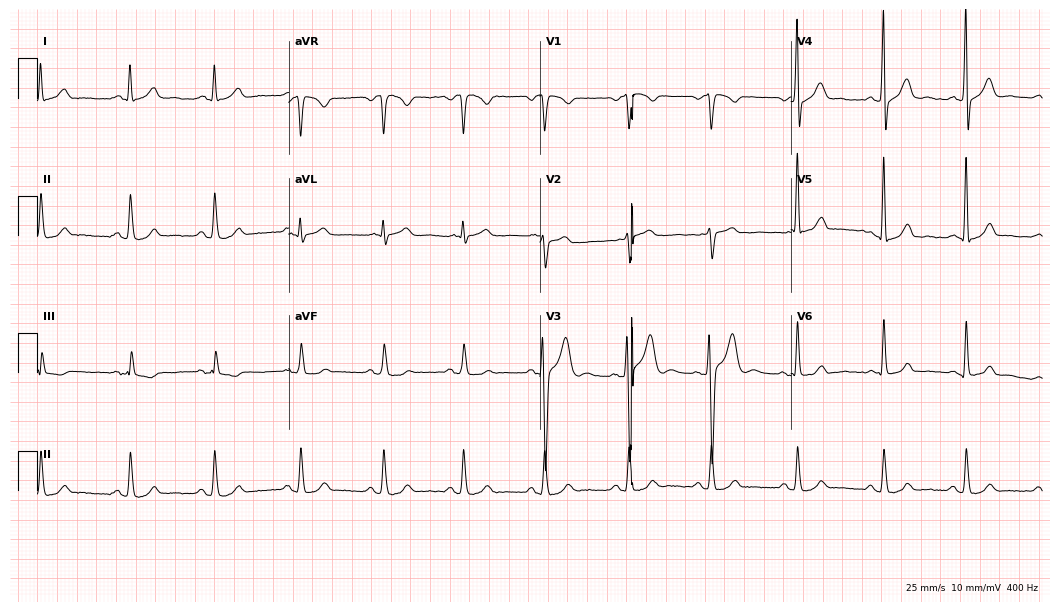
Resting 12-lead electrocardiogram (10.2-second recording at 400 Hz). Patient: a 30-year-old man. None of these six findings is recorded: first-degree AV block, right bundle branch block (RBBB), left bundle branch block (LBBB), sinus bradycardia, atrial fibrillation (AF), sinus tachycardia.